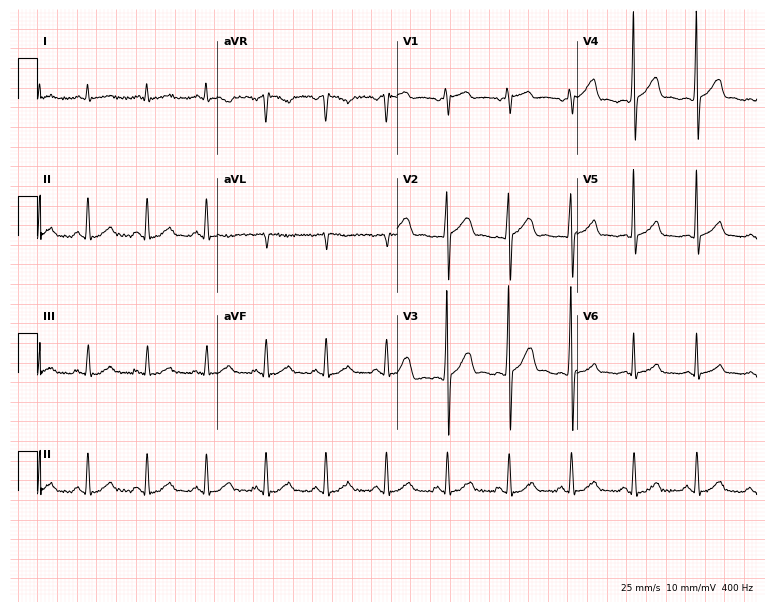
ECG (7.3-second recording at 400 Hz) — a 61-year-old man. Labelled as a normal ECG.